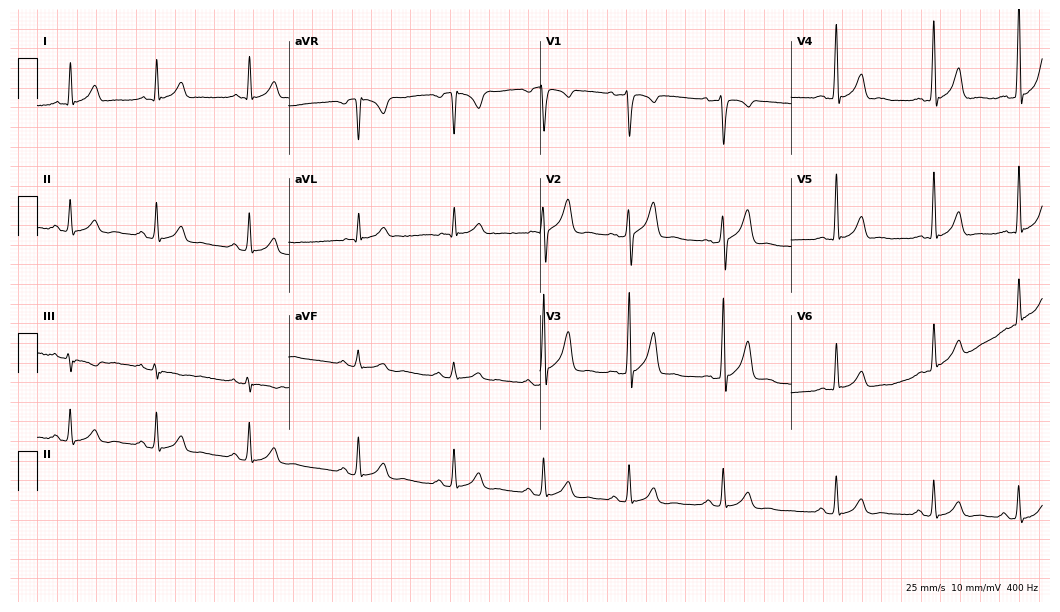
Resting 12-lead electrocardiogram. Patient: a 38-year-old male. Read as a normal ECG.